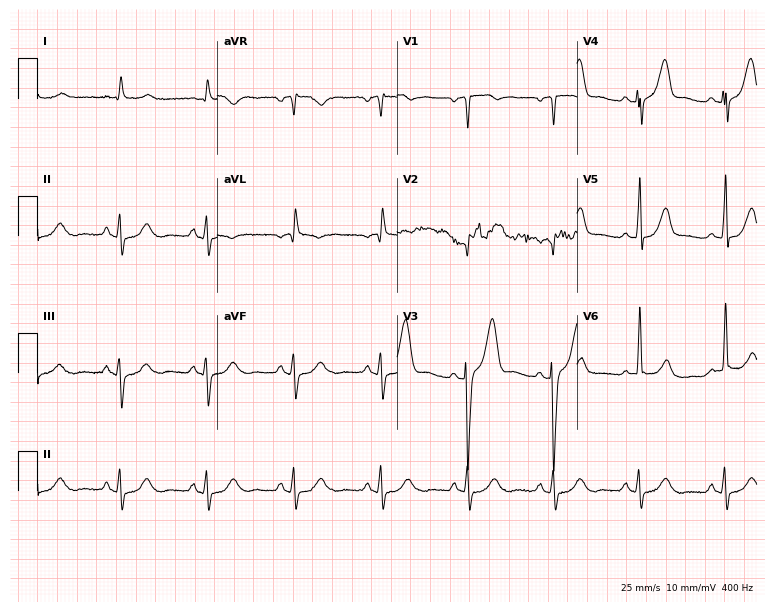
ECG — a 69-year-old male. Labelled as a normal ECG.